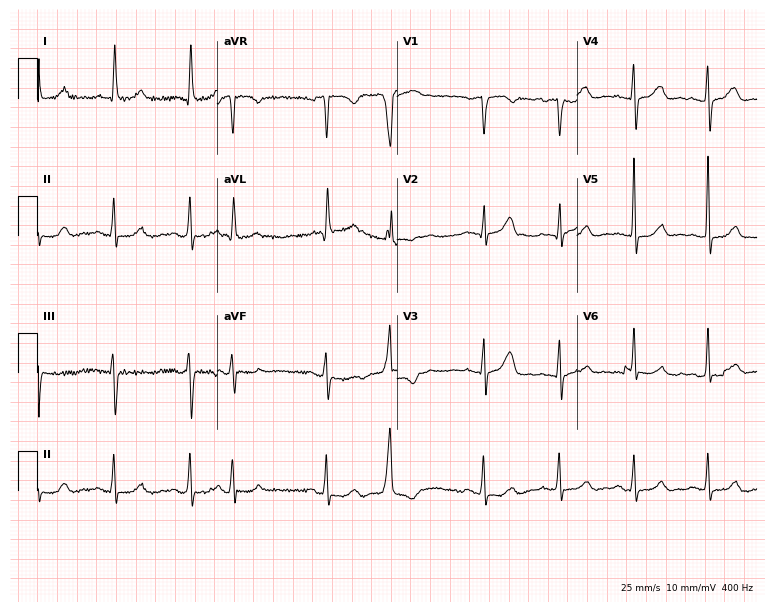
Electrocardiogram, a female patient, 68 years old. Of the six screened findings (first-degree AV block, right bundle branch block (RBBB), left bundle branch block (LBBB), sinus bradycardia, atrial fibrillation (AF), sinus tachycardia), none is recorded.